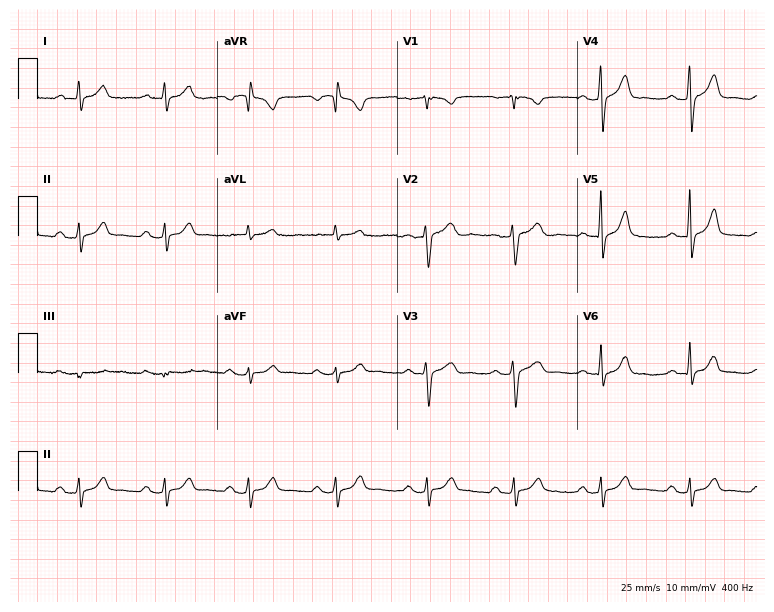
Electrocardiogram, a 33-year-old female patient. Interpretation includes first-degree AV block.